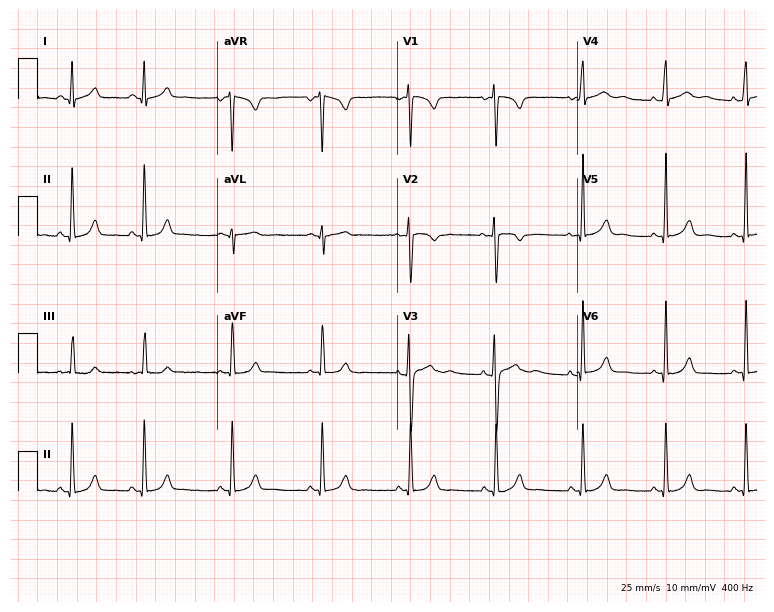
Resting 12-lead electrocardiogram (7.3-second recording at 400 Hz). Patient: a 24-year-old female. Read as a normal ECG.